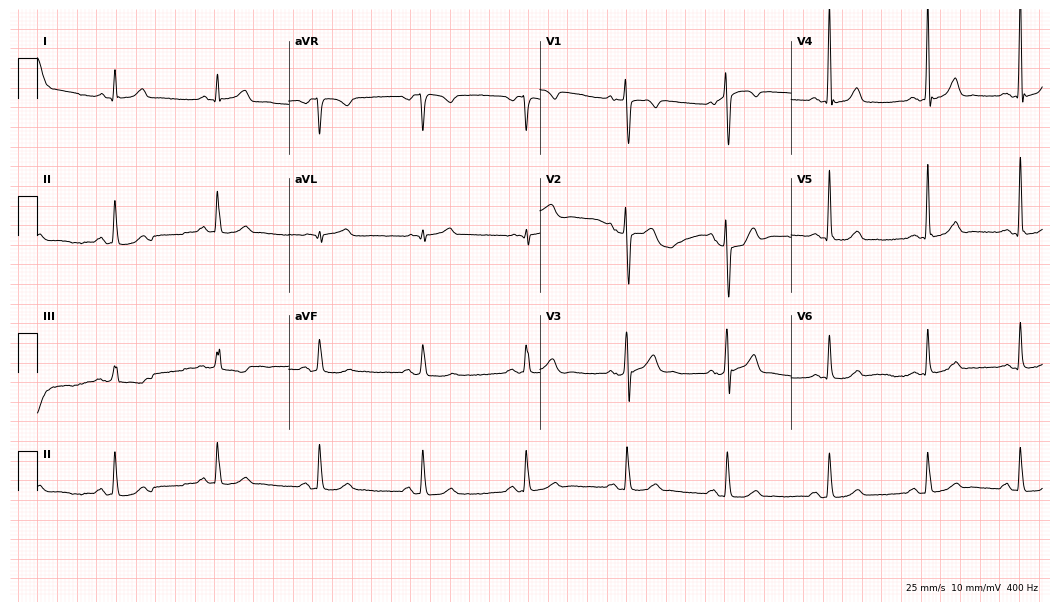
Electrocardiogram, a man, 58 years old. Of the six screened findings (first-degree AV block, right bundle branch block (RBBB), left bundle branch block (LBBB), sinus bradycardia, atrial fibrillation (AF), sinus tachycardia), none is recorded.